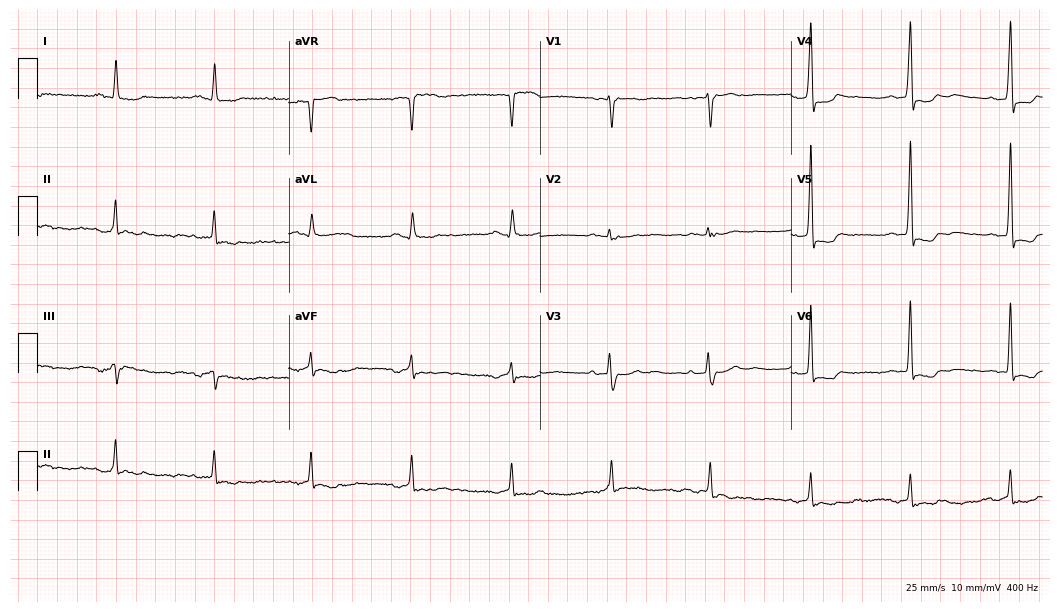
Standard 12-lead ECG recorded from a 72-year-old female. None of these six findings is recorded: first-degree AV block, right bundle branch block, left bundle branch block, sinus bradycardia, atrial fibrillation, sinus tachycardia.